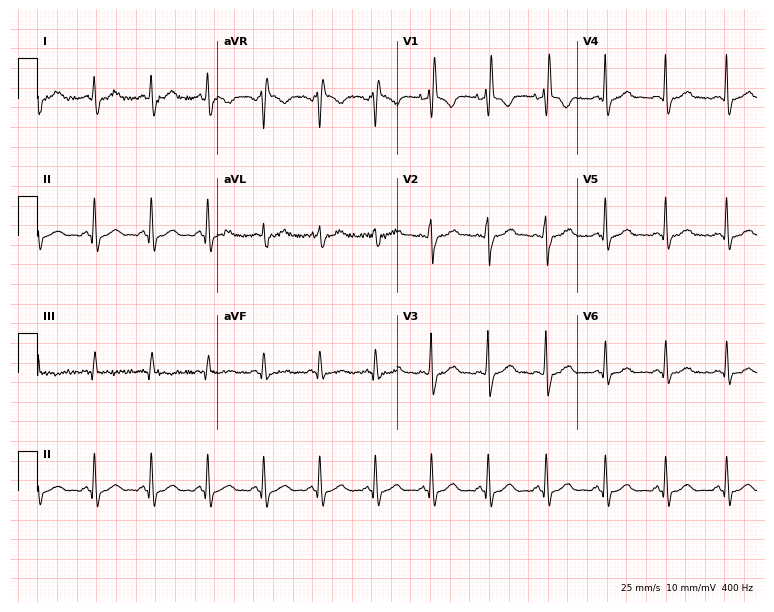
Electrocardiogram (7.3-second recording at 400 Hz), a 39-year-old female. Interpretation includes sinus tachycardia (a sinus rate of 100 beats per minute or more).